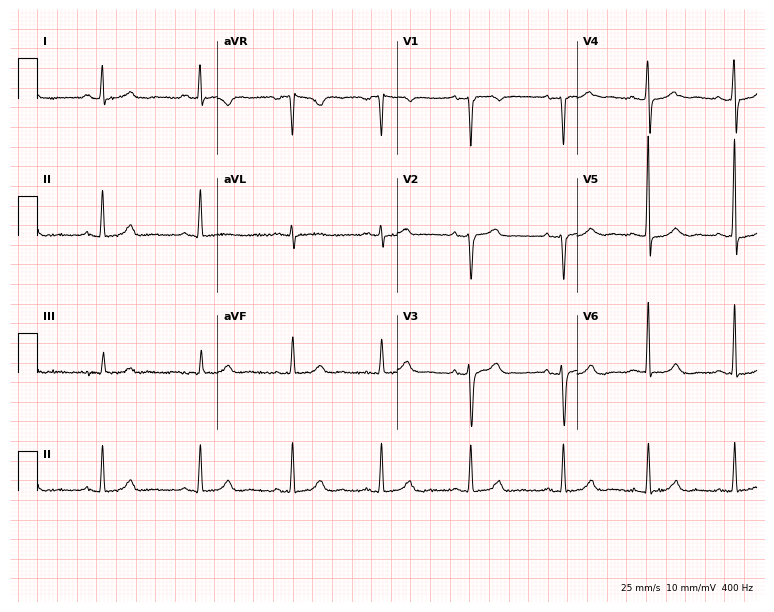
Electrocardiogram, a 46-year-old female patient. Of the six screened findings (first-degree AV block, right bundle branch block, left bundle branch block, sinus bradycardia, atrial fibrillation, sinus tachycardia), none is recorded.